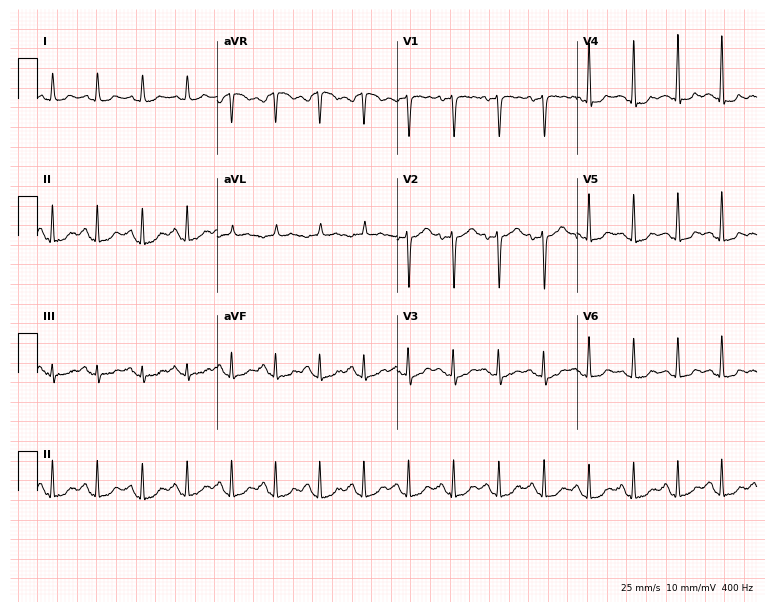
ECG — a woman, 44 years old. Findings include sinus tachycardia (a sinus rate of 100 beats per minute or more).